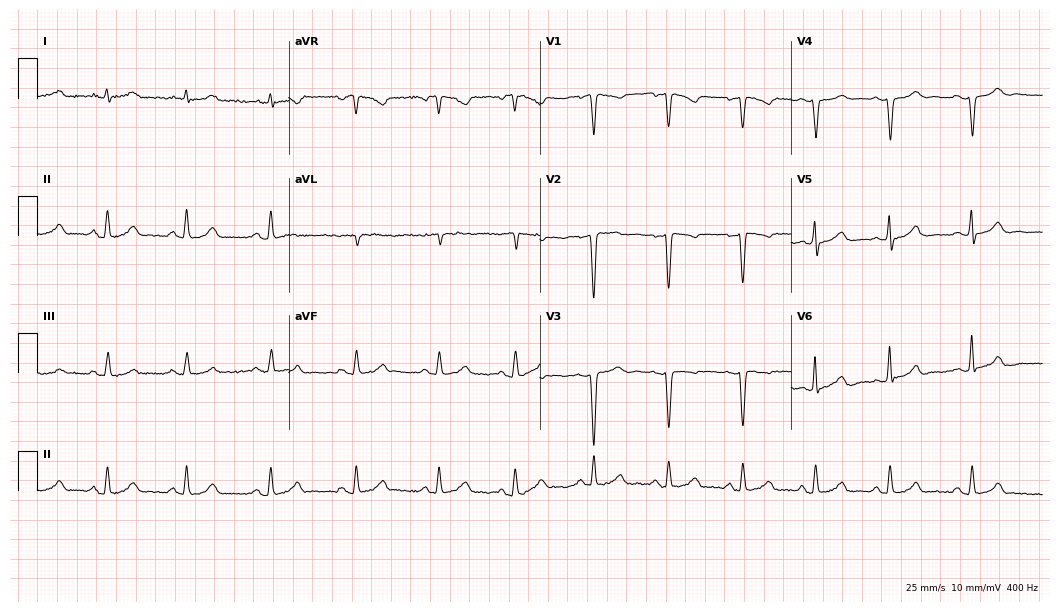
12-lead ECG from a female patient, 42 years old. No first-degree AV block, right bundle branch block, left bundle branch block, sinus bradycardia, atrial fibrillation or sinus tachycardia recorded for this tracing. Only these six findings were labelled.